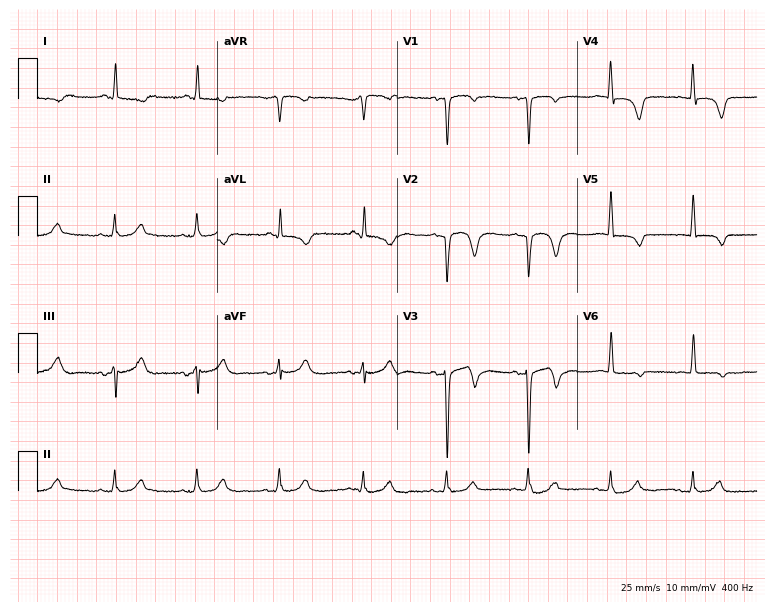
12-lead ECG from a woman, 67 years old. Screened for six findings — first-degree AV block, right bundle branch block, left bundle branch block, sinus bradycardia, atrial fibrillation, sinus tachycardia — none is recorded. Other findings, if any, are not listed.